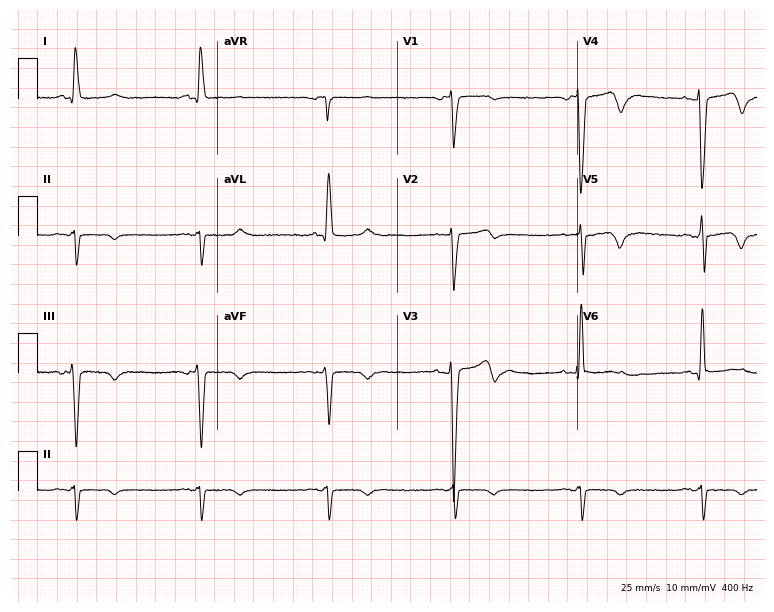
12-lead ECG from a male patient, 76 years old. Shows sinus bradycardia (a sinus rate of 50 beats per minute or less).